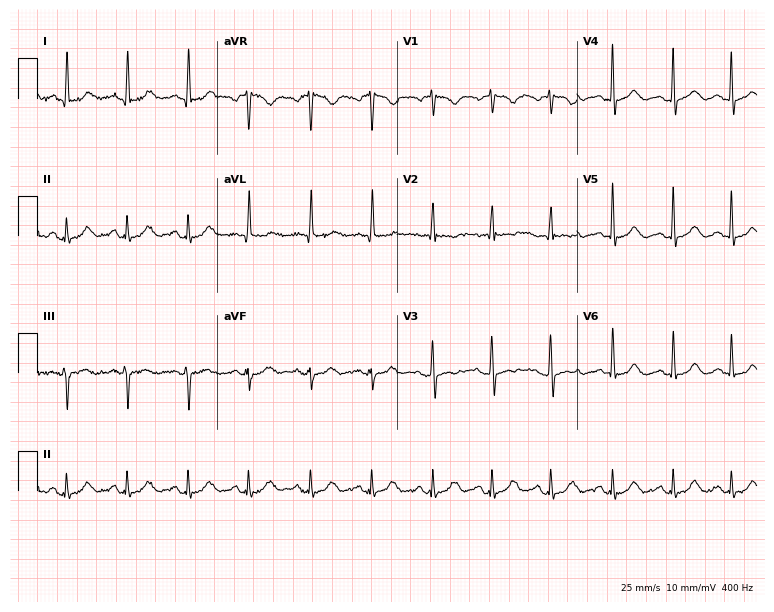
Standard 12-lead ECG recorded from a 70-year-old female patient. Read as a normal ECG.